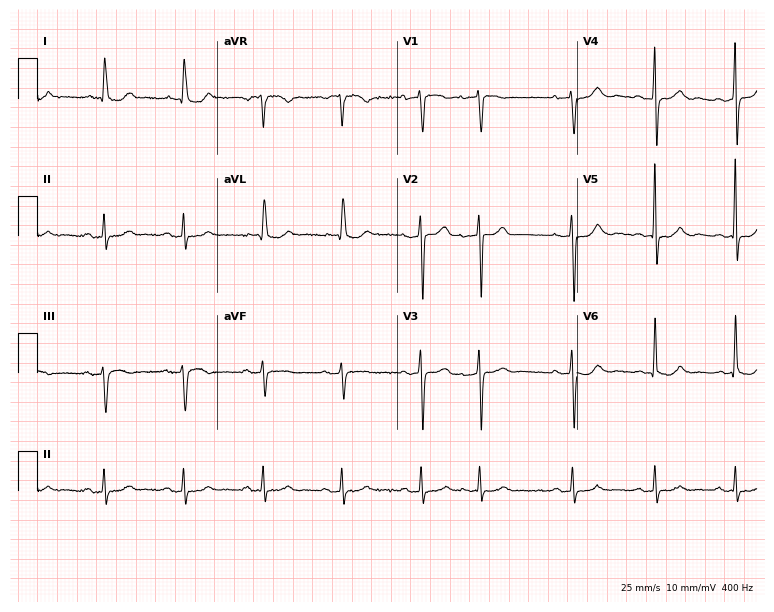
12-lead ECG (7.3-second recording at 400 Hz) from an 81-year-old female patient. Screened for six findings — first-degree AV block, right bundle branch block, left bundle branch block, sinus bradycardia, atrial fibrillation, sinus tachycardia — none is recorded.